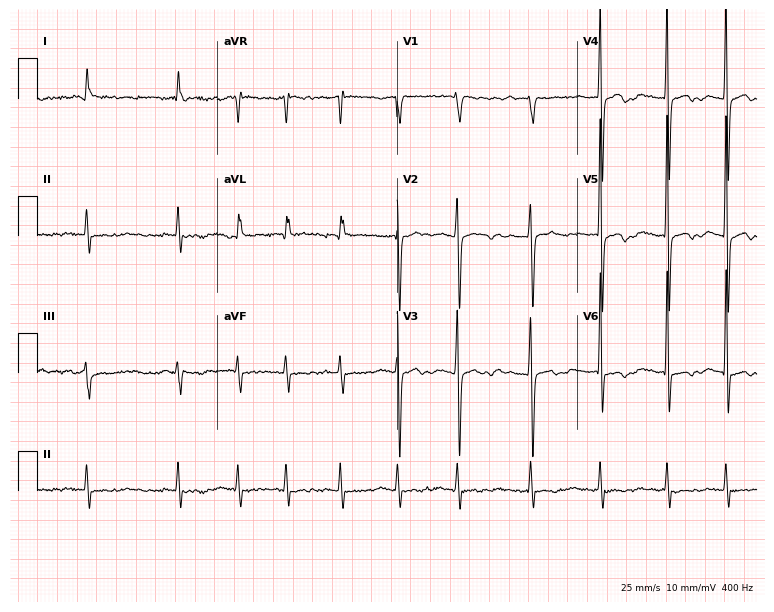
12-lead ECG (7.3-second recording at 400 Hz) from a female patient, 76 years old. Findings include atrial fibrillation (AF).